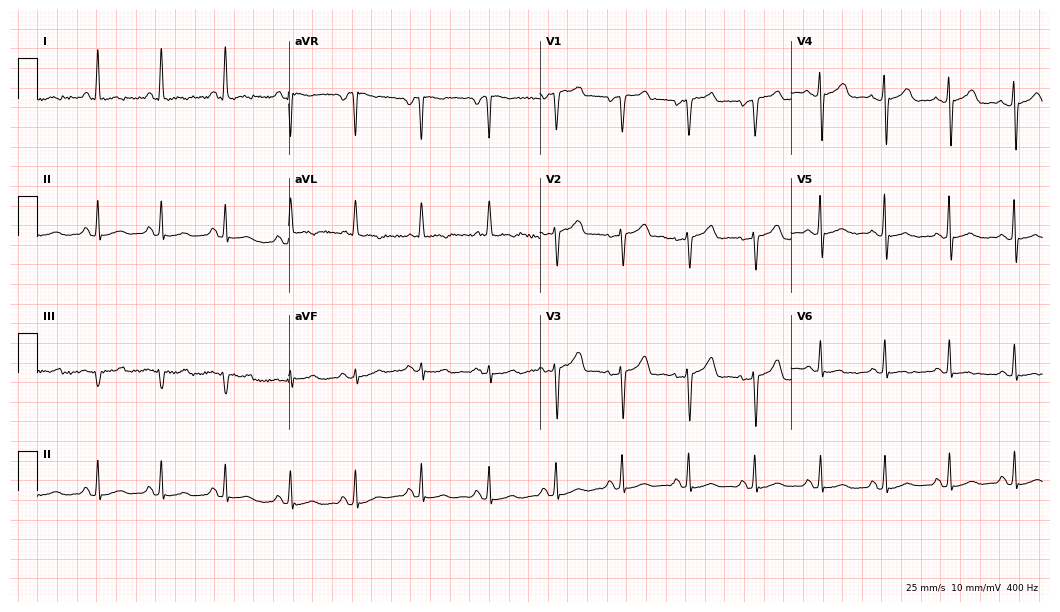
ECG (10.2-second recording at 400 Hz) — a female, 67 years old. Labelled as a normal ECG.